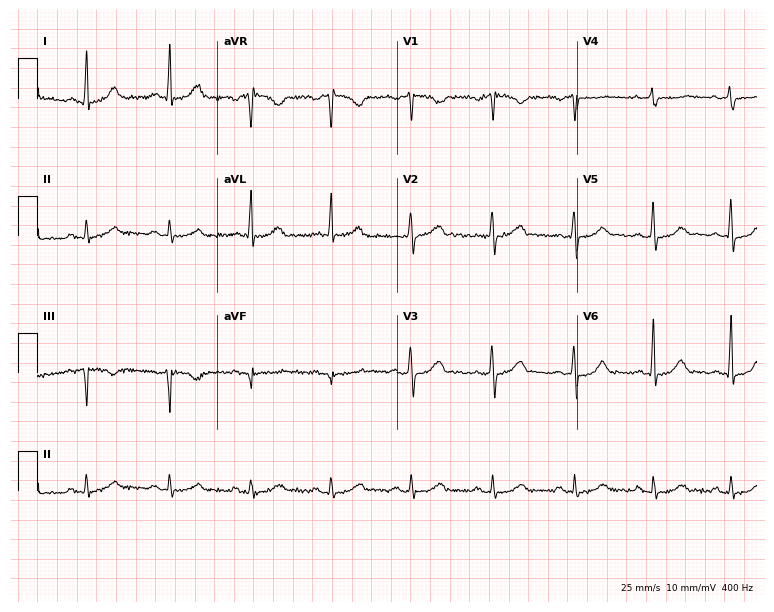
Resting 12-lead electrocardiogram (7.3-second recording at 400 Hz). Patient: a 60-year-old female. Read as a normal ECG.